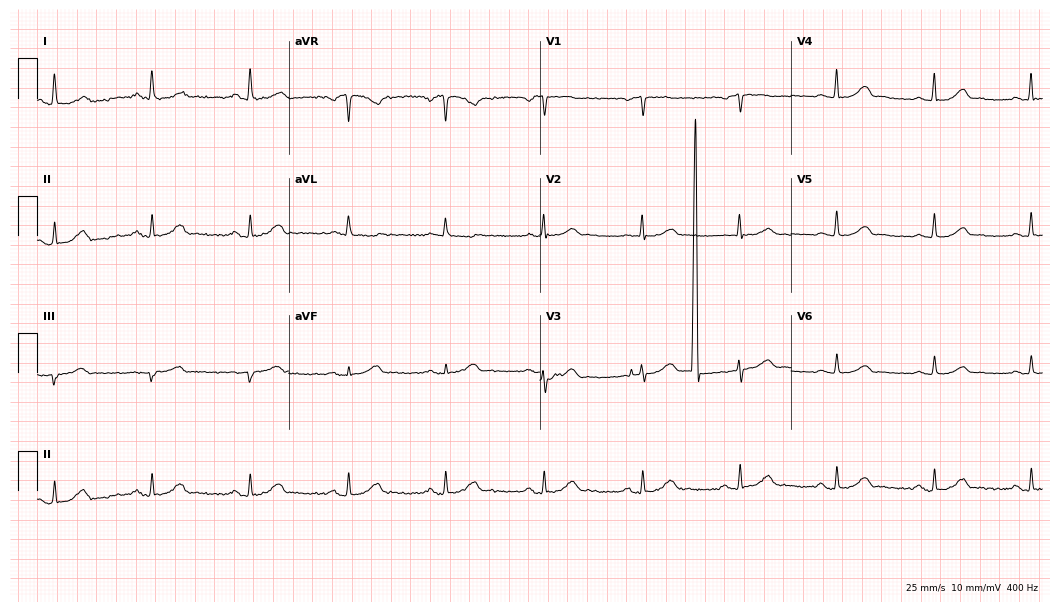
12-lead ECG (10.2-second recording at 400 Hz) from a 55-year-old female patient. Labelled as a normal ECG.